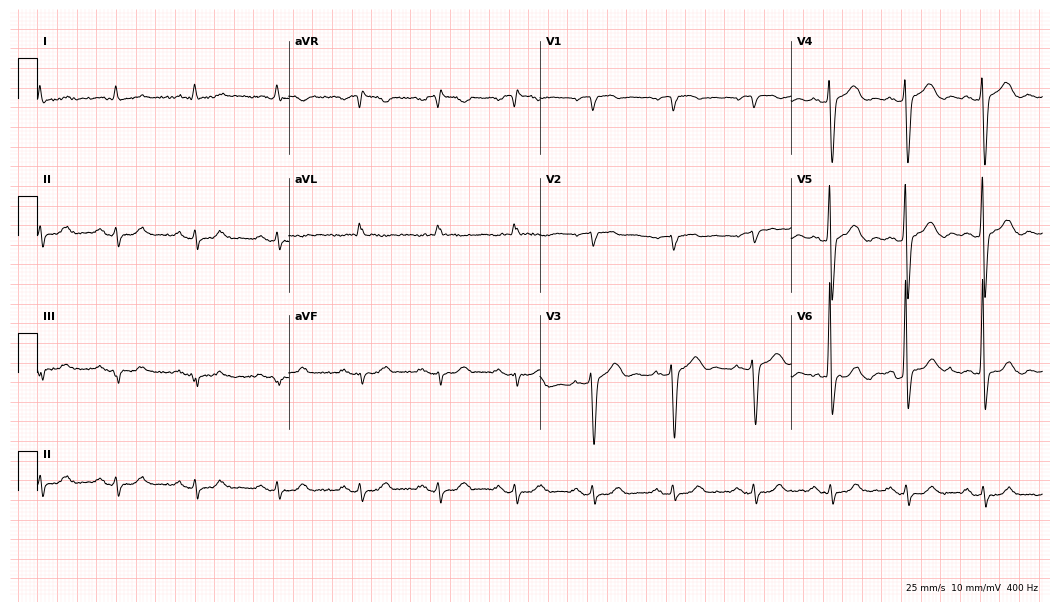
Standard 12-lead ECG recorded from a man, 69 years old (10.2-second recording at 400 Hz). None of these six findings is recorded: first-degree AV block, right bundle branch block, left bundle branch block, sinus bradycardia, atrial fibrillation, sinus tachycardia.